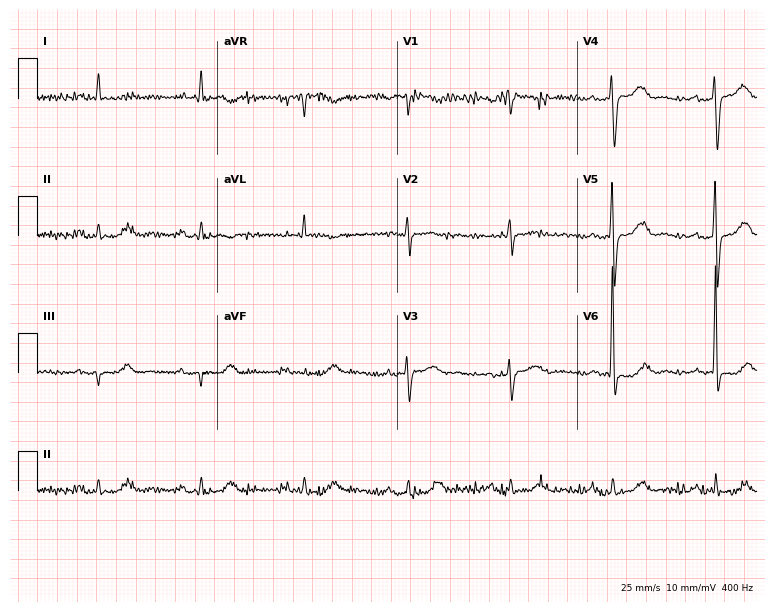
Resting 12-lead electrocardiogram (7.3-second recording at 400 Hz). Patient: a 79-year-old man. None of these six findings is recorded: first-degree AV block, right bundle branch block (RBBB), left bundle branch block (LBBB), sinus bradycardia, atrial fibrillation (AF), sinus tachycardia.